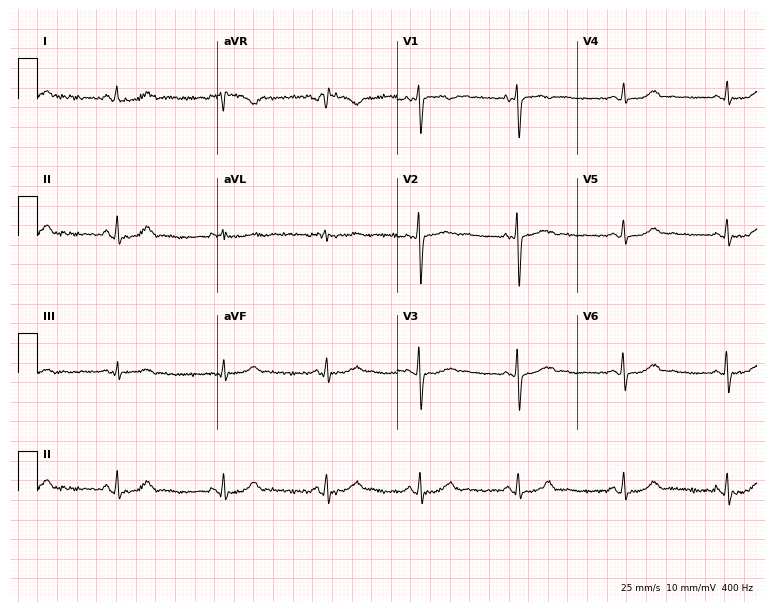
Electrocardiogram, a female, 43 years old. Of the six screened findings (first-degree AV block, right bundle branch block, left bundle branch block, sinus bradycardia, atrial fibrillation, sinus tachycardia), none is recorded. Findings outside these six are not listed.